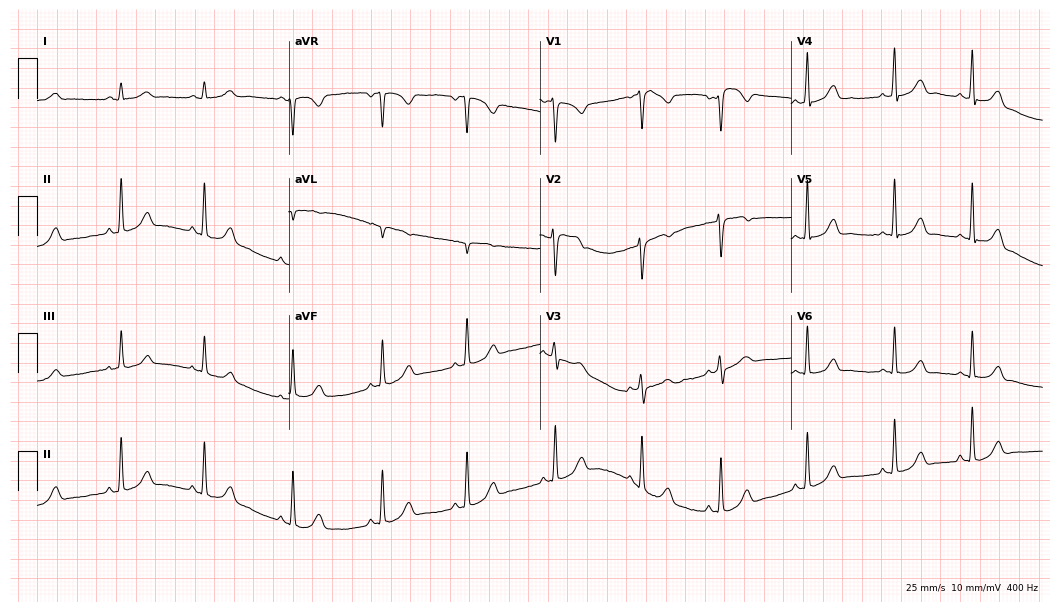
Electrocardiogram, a female, 23 years old. Overall reading on record: normal ECG.